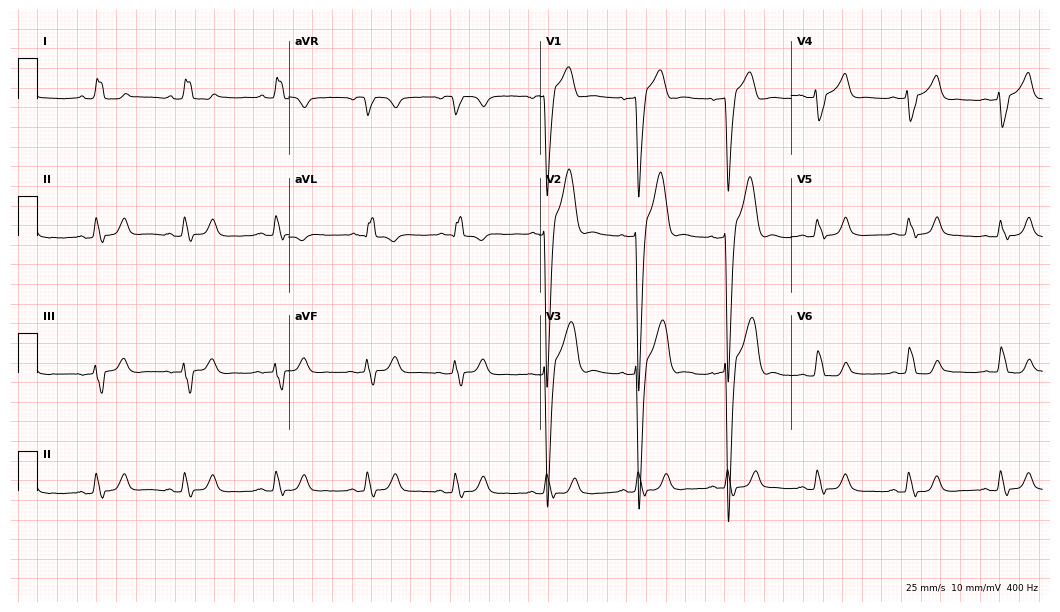
12-lead ECG from a 45-year-old male. Shows left bundle branch block (LBBB).